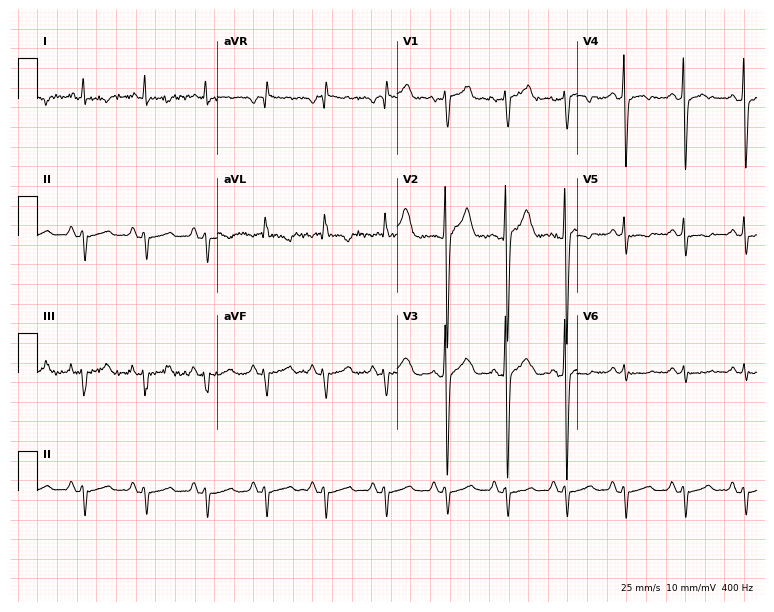
12-lead ECG from a 48-year-old female patient. Screened for six findings — first-degree AV block, right bundle branch block, left bundle branch block, sinus bradycardia, atrial fibrillation, sinus tachycardia — none is recorded. Only these six findings were labelled.